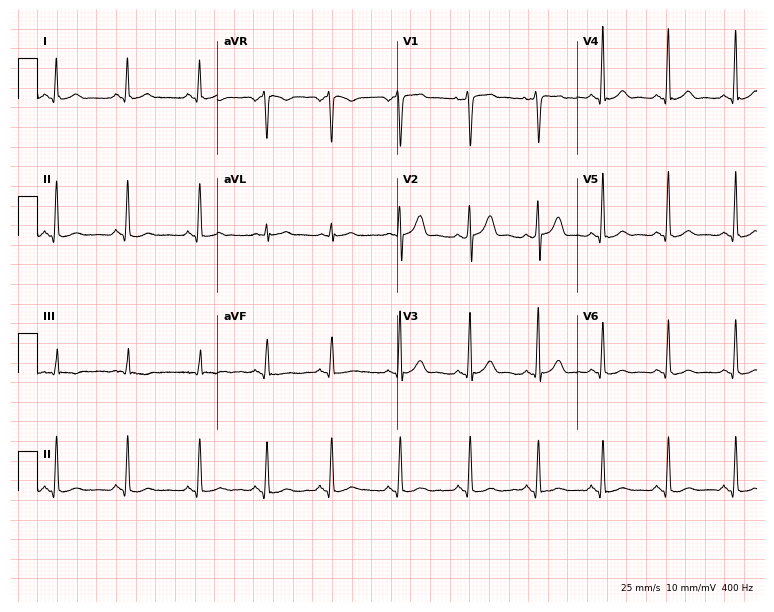
ECG — a male, 25 years old. Labelled as a normal ECG.